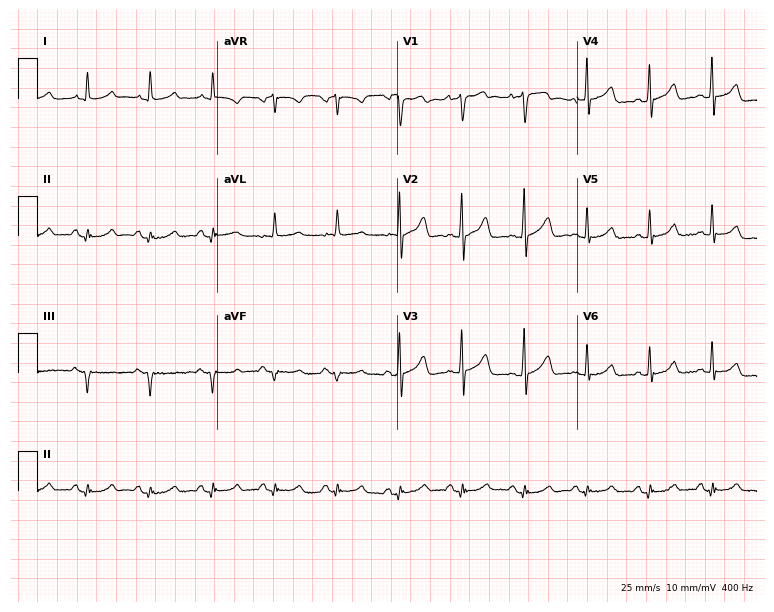
12-lead ECG from a 71-year-old male. Screened for six findings — first-degree AV block, right bundle branch block, left bundle branch block, sinus bradycardia, atrial fibrillation, sinus tachycardia — none is recorded.